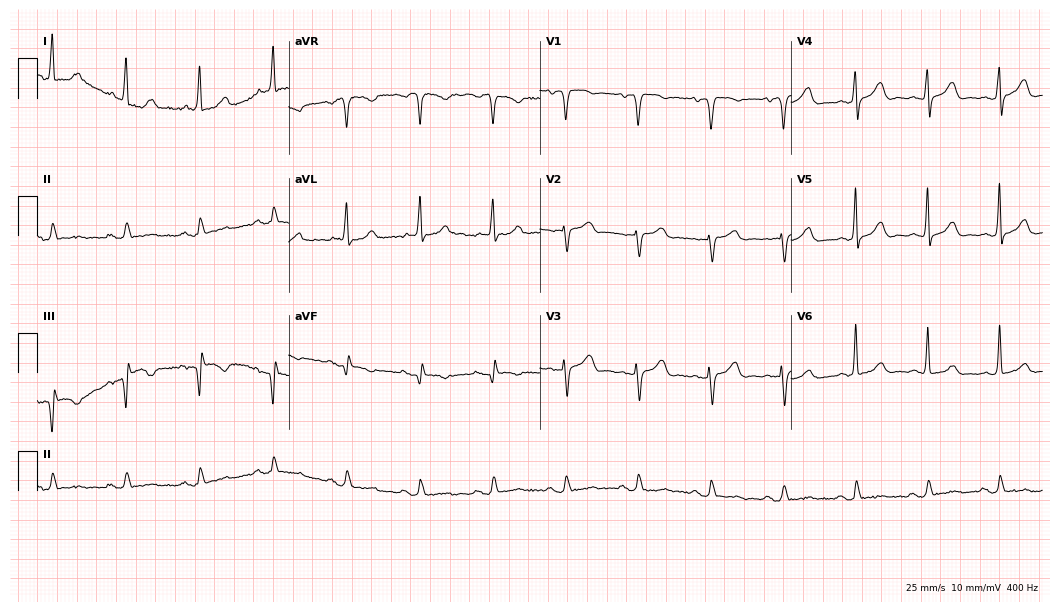
Electrocardiogram, a female patient, 68 years old. Of the six screened findings (first-degree AV block, right bundle branch block (RBBB), left bundle branch block (LBBB), sinus bradycardia, atrial fibrillation (AF), sinus tachycardia), none is recorded.